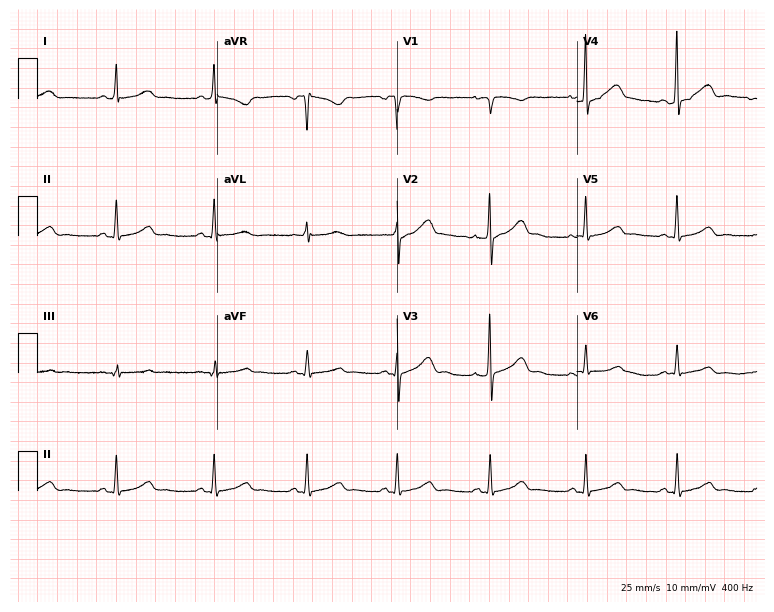
Resting 12-lead electrocardiogram (7.3-second recording at 400 Hz). Patient: a female, 38 years old. Read as a normal ECG.